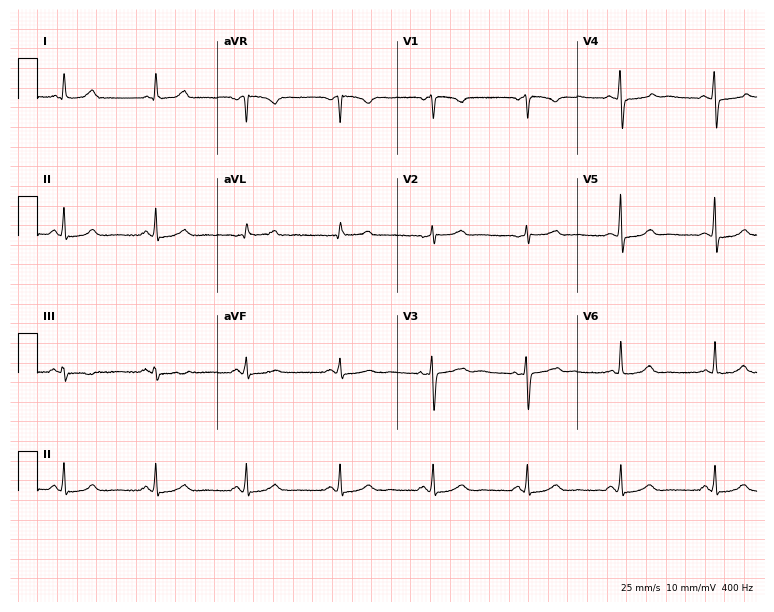
Standard 12-lead ECG recorded from a man, 50 years old (7.3-second recording at 400 Hz). None of these six findings is recorded: first-degree AV block, right bundle branch block (RBBB), left bundle branch block (LBBB), sinus bradycardia, atrial fibrillation (AF), sinus tachycardia.